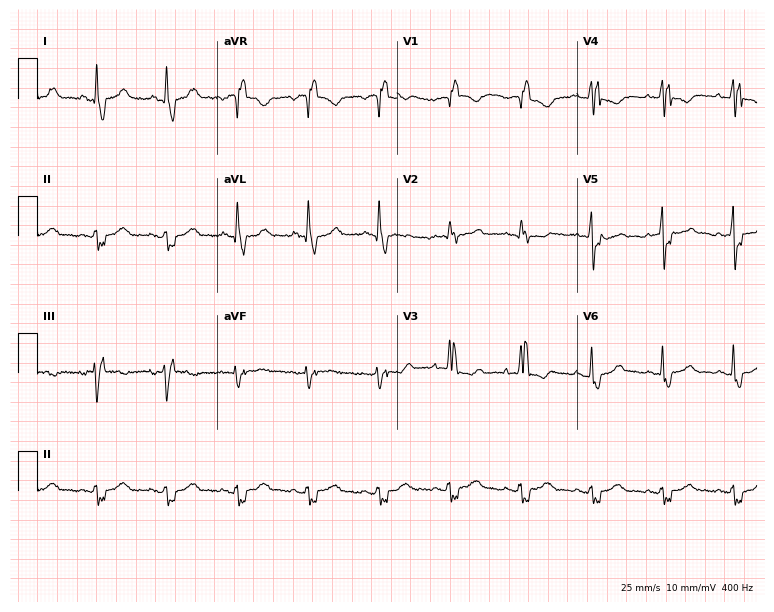
12-lead ECG from a 67-year-old female patient. Findings include right bundle branch block.